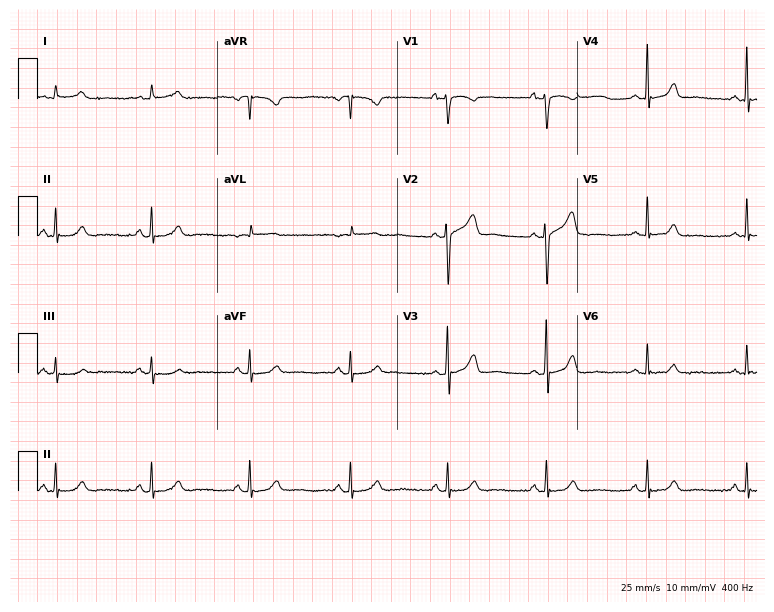
12-lead ECG from a 63-year-old female patient. No first-degree AV block, right bundle branch block, left bundle branch block, sinus bradycardia, atrial fibrillation or sinus tachycardia recorded for this tracing. Findings outside these six are not listed.